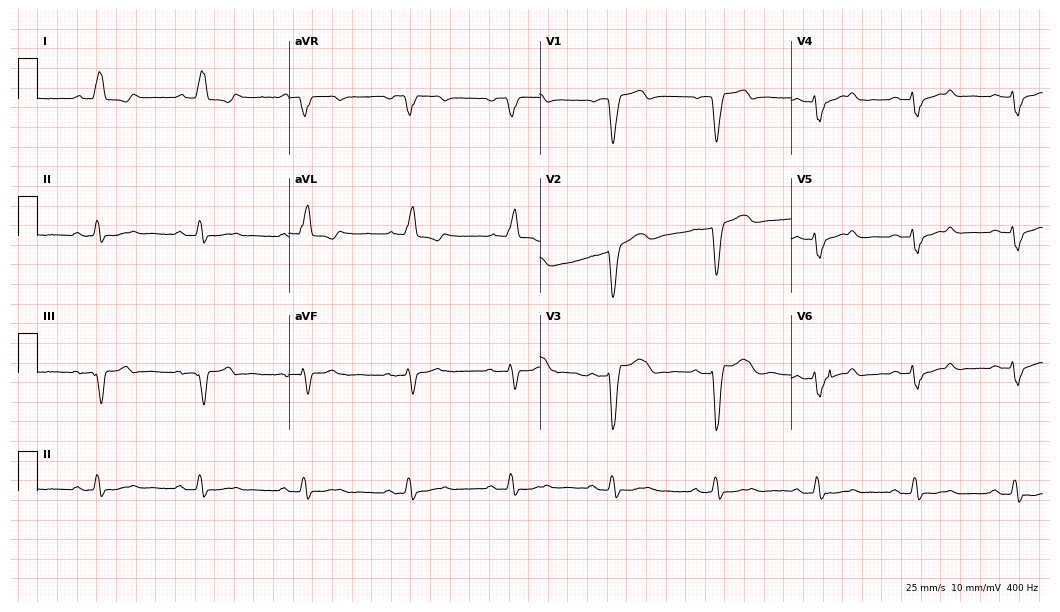
Electrocardiogram, a male patient, 74 years old. Of the six screened findings (first-degree AV block, right bundle branch block (RBBB), left bundle branch block (LBBB), sinus bradycardia, atrial fibrillation (AF), sinus tachycardia), none is recorded.